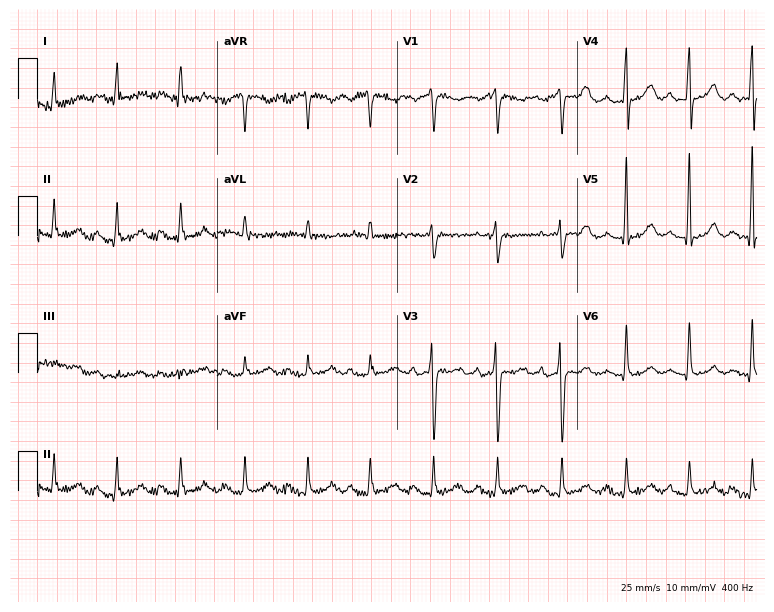
Electrocardiogram, a 53-year-old female patient. Of the six screened findings (first-degree AV block, right bundle branch block (RBBB), left bundle branch block (LBBB), sinus bradycardia, atrial fibrillation (AF), sinus tachycardia), none is recorded. Findings outside these six are not listed.